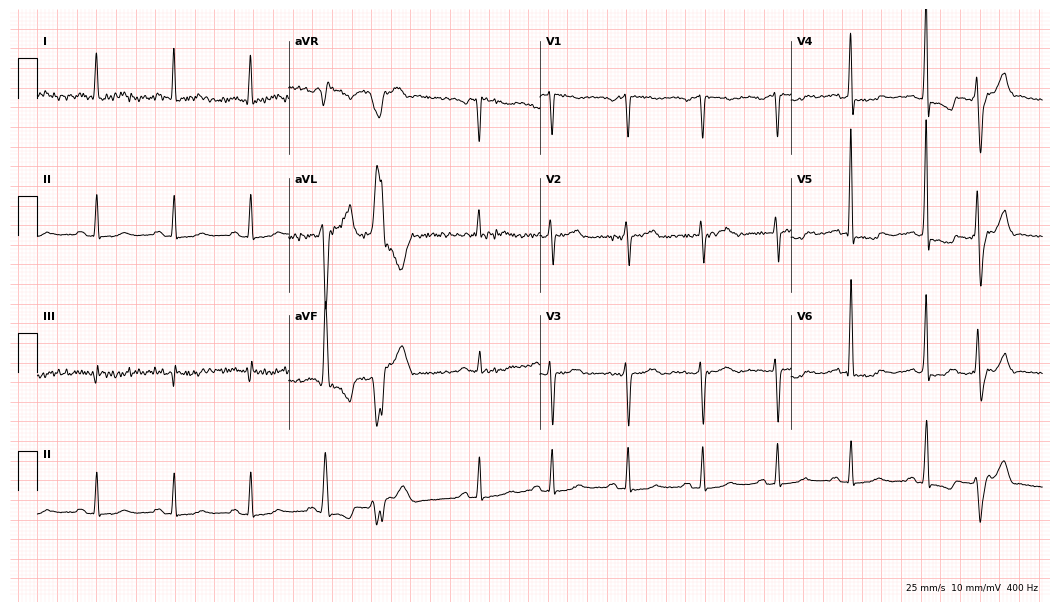
Resting 12-lead electrocardiogram. Patient: a female, 64 years old. None of these six findings is recorded: first-degree AV block, right bundle branch block, left bundle branch block, sinus bradycardia, atrial fibrillation, sinus tachycardia.